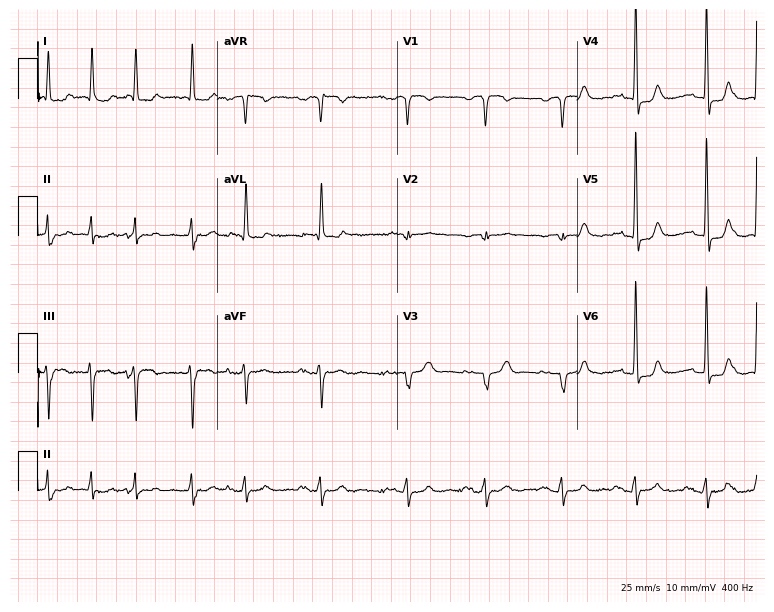
12-lead ECG (7.3-second recording at 400 Hz) from a female patient, 85 years old. Screened for six findings — first-degree AV block, right bundle branch block, left bundle branch block, sinus bradycardia, atrial fibrillation, sinus tachycardia — none is recorded.